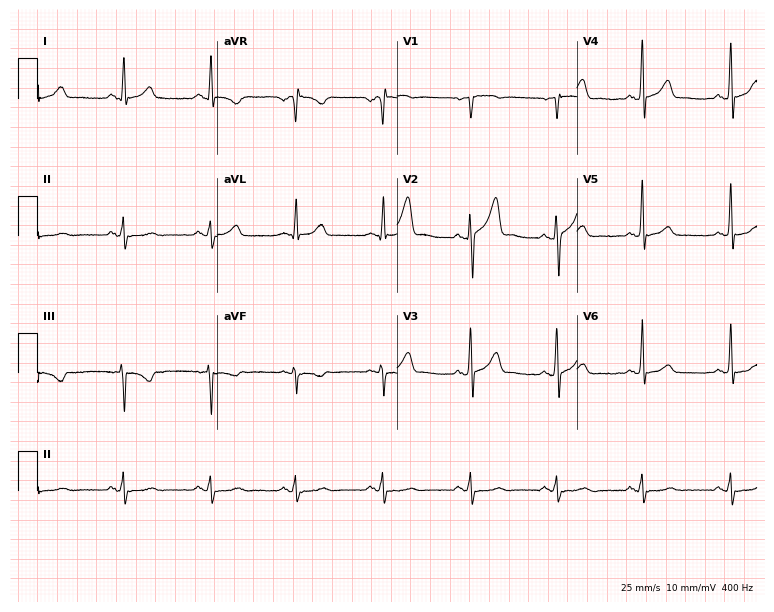
12-lead ECG (7.3-second recording at 400 Hz) from a 39-year-old male. Screened for six findings — first-degree AV block, right bundle branch block, left bundle branch block, sinus bradycardia, atrial fibrillation, sinus tachycardia — none is recorded.